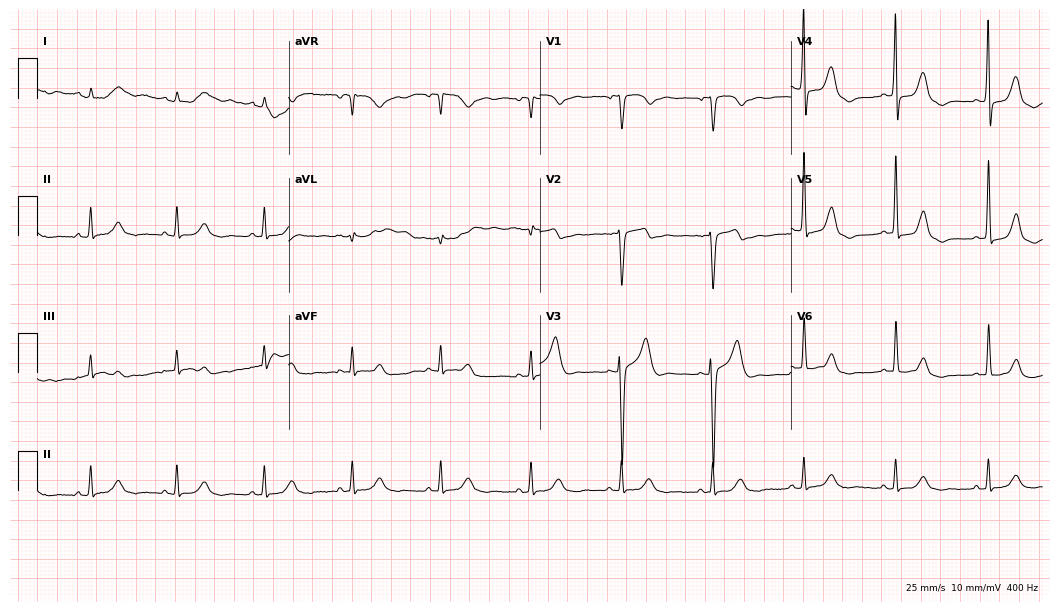
12-lead ECG from a 73-year-old man (10.2-second recording at 400 Hz). Recorded interpretation: within normal limits.